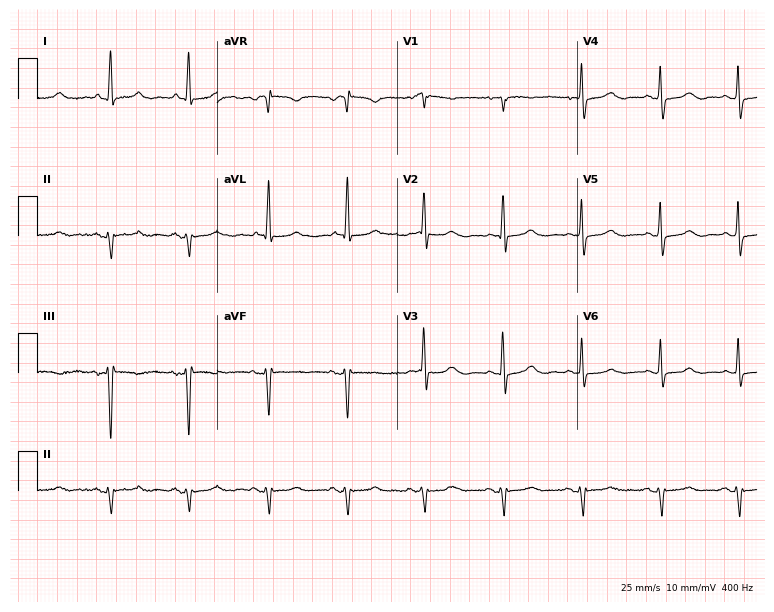
ECG (7.3-second recording at 400 Hz) — a woman, 76 years old. Screened for six findings — first-degree AV block, right bundle branch block, left bundle branch block, sinus bradycardia, atrial fibrillation, sinus tachycardia — none is recorded.